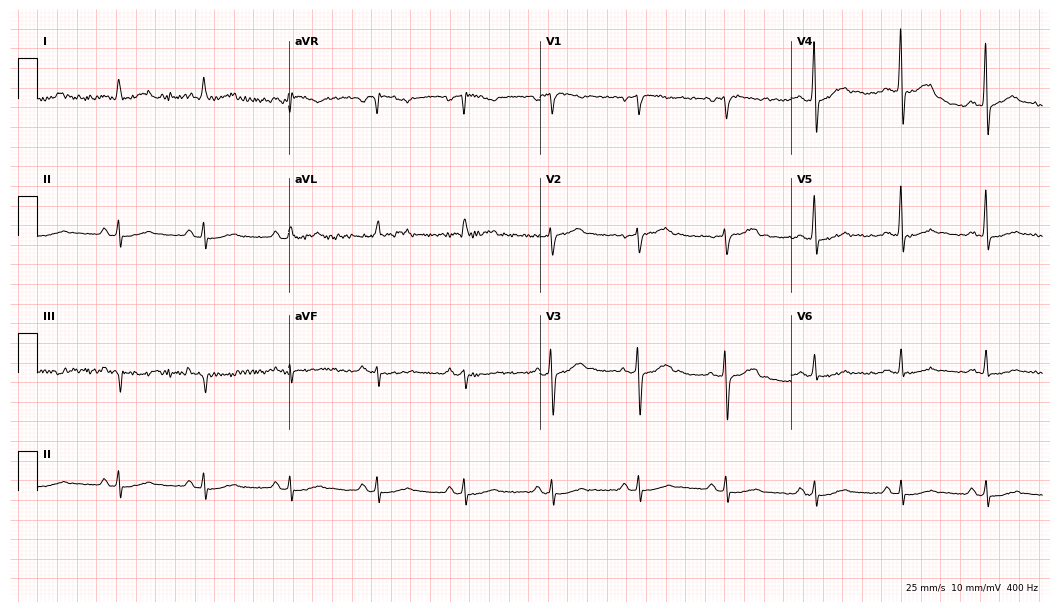
12-lead ECG from a male patient, 68 years old. Labelled as a normal ECG.